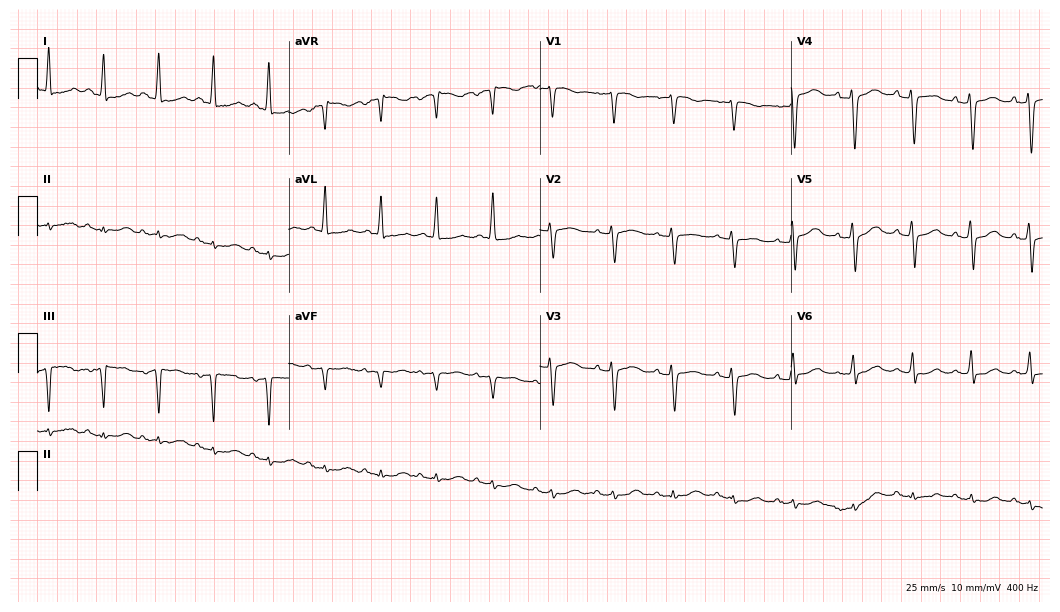
Standard 12-lead ECG recorded from a female patient, 60 years old. None of these six findings is recorded: first-degree AV block, right bundle branch block (RBBB), left bundle branch block (LBBB), sinus bradycardia, atrial fibrillation (AF), sinus tachycardia. Other findings, if any, are not listed.